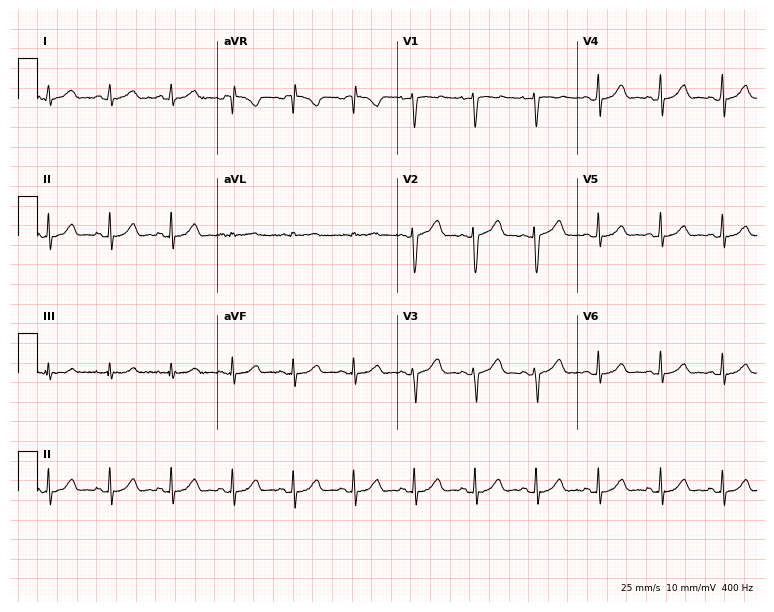
Standard 12-lead ECG recorded from a female, 33 years old. None of these six findings is recorded: first-degree AV block, right bundle branch block, left bundle branch block, sinus bradycardia, atrial fibrillation, sinus tachycardia. Other findings, if any, are not listed.